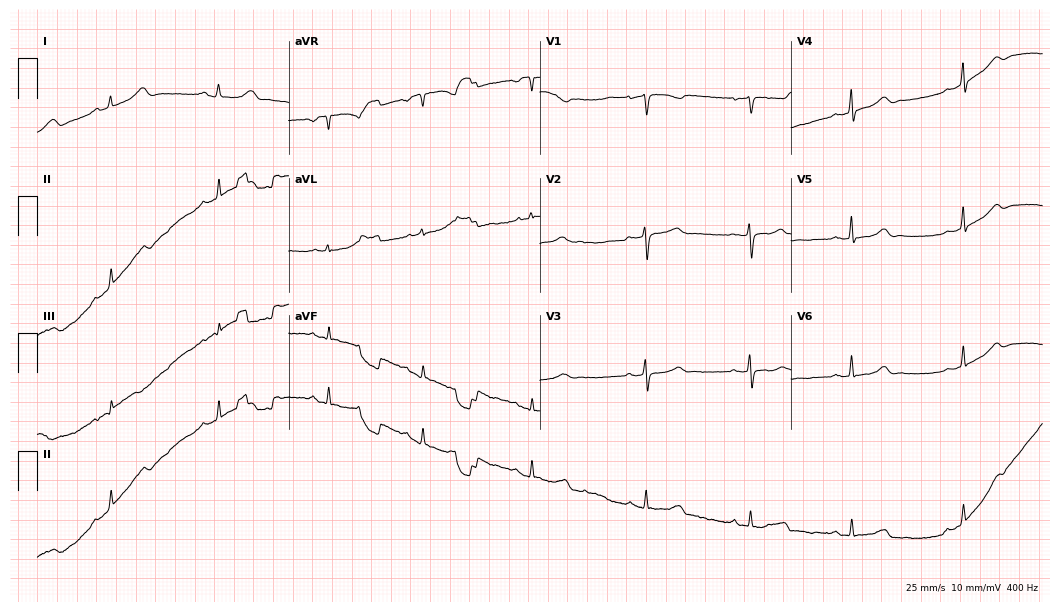
ECG (10.2-second recording at 400 Hz) — a female patient, 39 years old. Screened for six findings — first-degree AV block, right bundle branch block (RBBB), left bundle branch block (LBBB), sinus bradycardia, atrial fibrillation (AF), sinus tachycardia — none is recorded. Only these six findings were labelled.